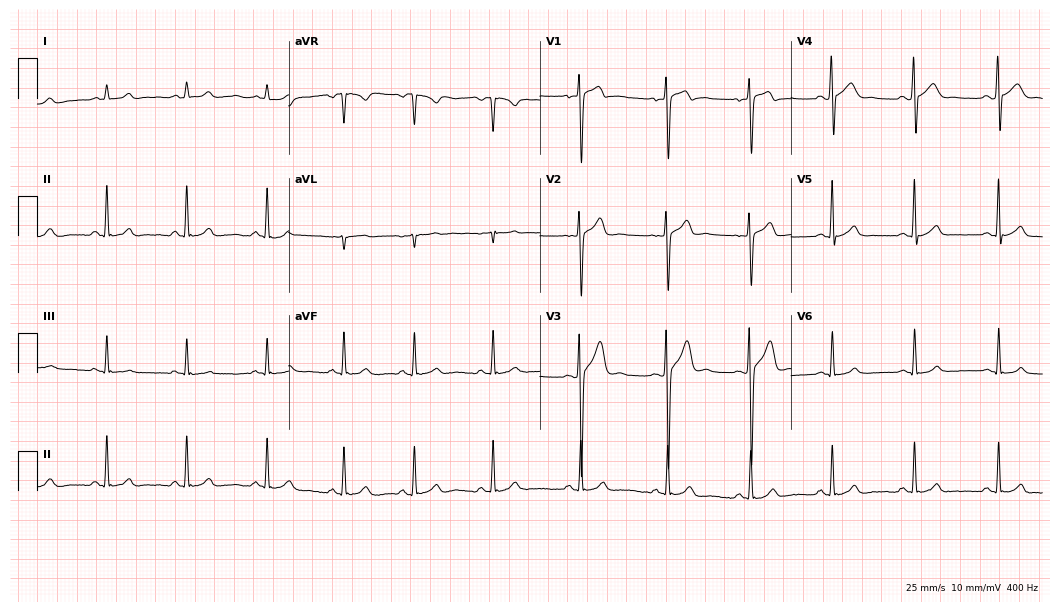
Standard 12-lead ECG recorded from a 17-year-old man. Read as a normal ECG.